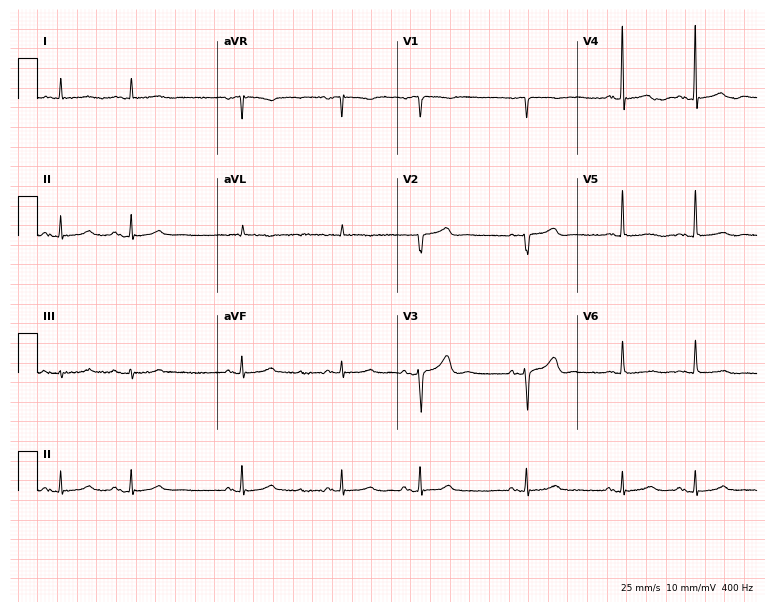
12-lead ECG (7.3-second recording at 400 Hz) from a 74-year-old woman. Findings include atrial fibrillation (AF).